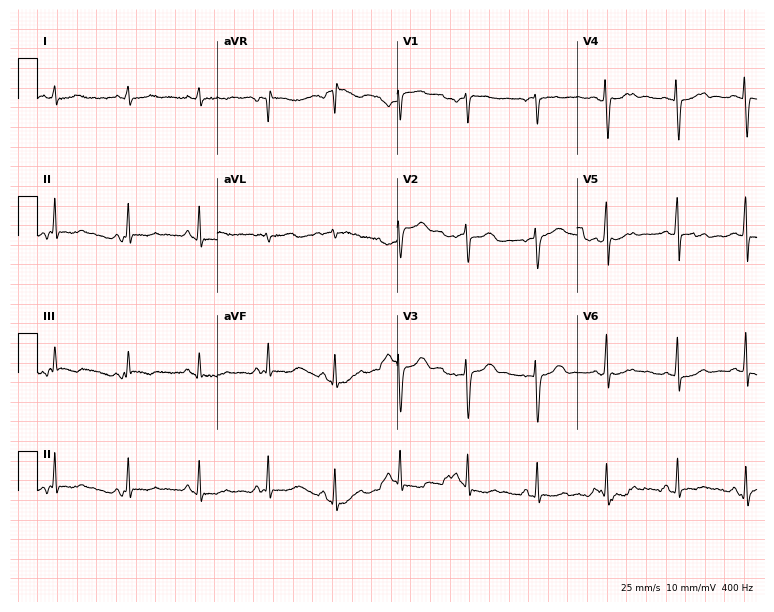
Resting 12-lead electrocardiogram (7.3-second recording at 400 Hz). Patient: a 27-year-old woman. None of these six findings is recorded: first-degree AV block, right bundle branch block, left bundle branch block, sinus bradycardia, atrial fibrillation, sinus tachycardia.